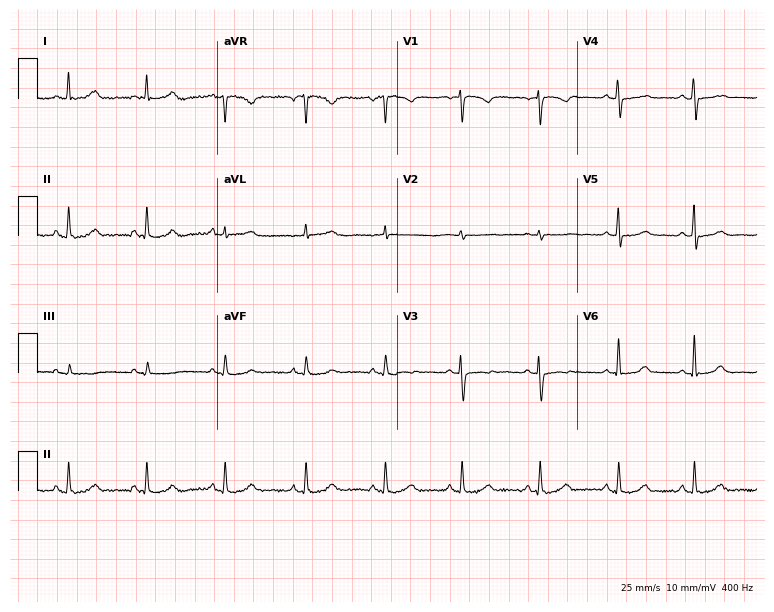
12-lead ECG from a 48-year-old female. Labelled as a normal ECG.